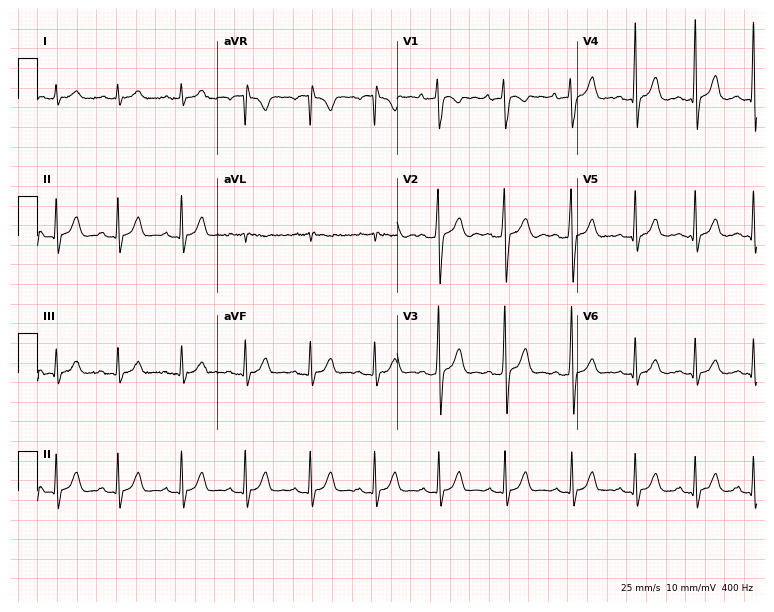
Standard 12-lead ECG recorded from a 26-year-old man. None of these six findings is recorded: first-degree AV block, right bundle branch block, left bundle branch block, sinus bradycardia, atrial fibrillation, sinus tachycardia. Other findings, if any, are not listed.